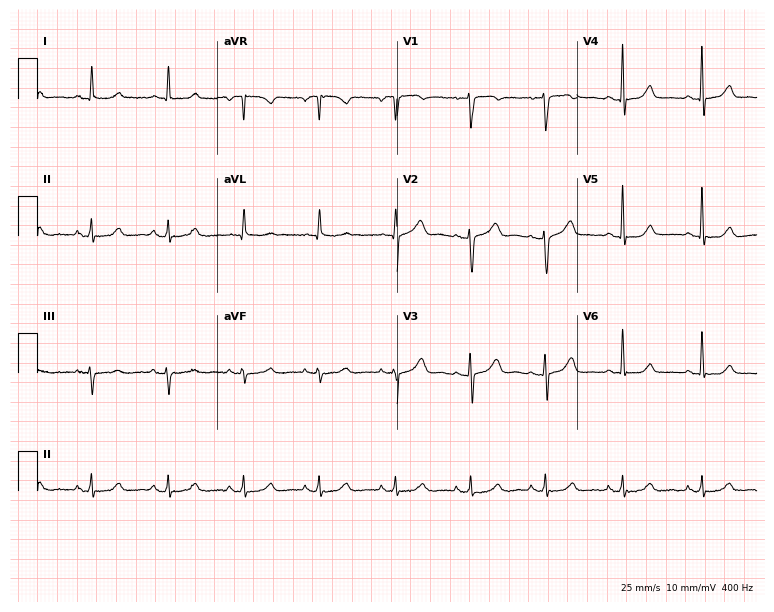
12-lead ECG (7.3-second recording at 400 Hz) from a 67-year-old female. Labelled as a normal ECG.